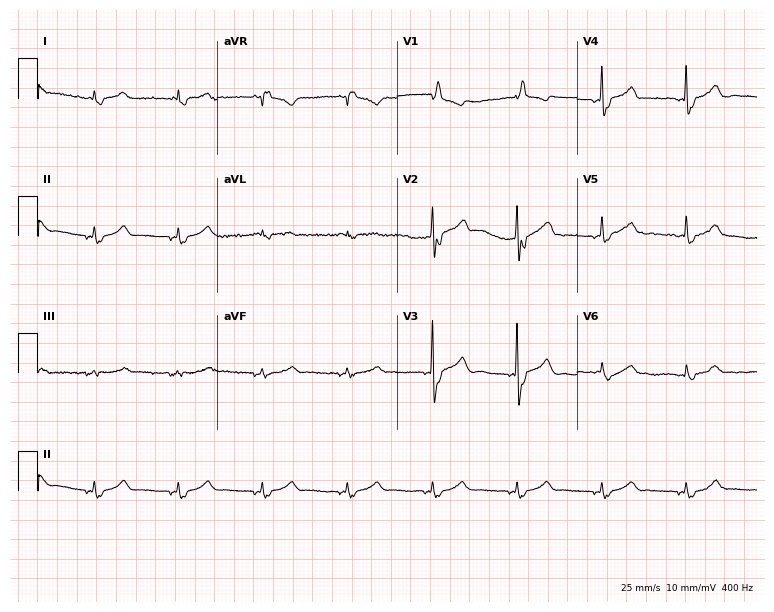
12-lead ECG from an 80-year-old male. Screened for six findings — first-degree AV block, right bundle branch block, left bundle branch block, sinus bradycardia, atrial fibrillation, sinus tachycardia — none is recorded.